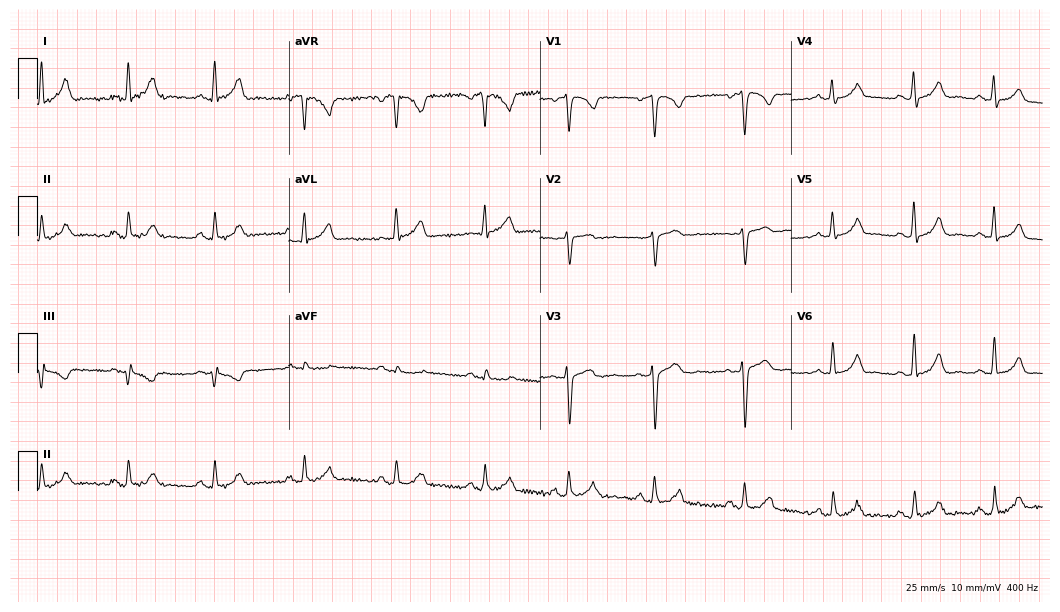
12-lead ECG from a female patient, 43 years old (10.2-second recording at 400 Hz). Recorded interpretation: within normal limits.